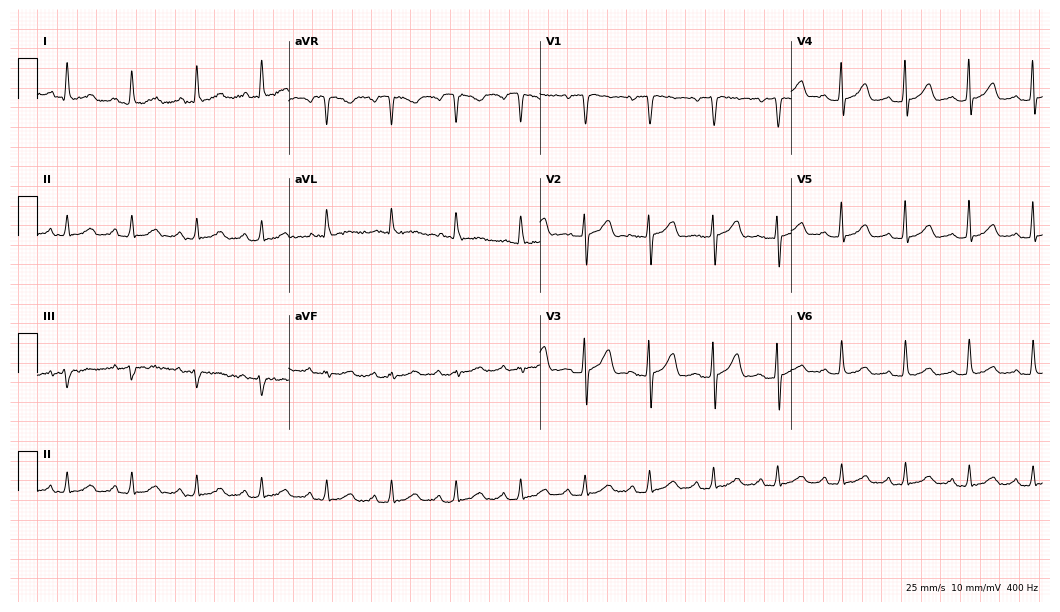
Electrocardiogram (10.2-second recording at 400 Hz), a female patient, 63 years old. Overall reading on record: normal ECG.